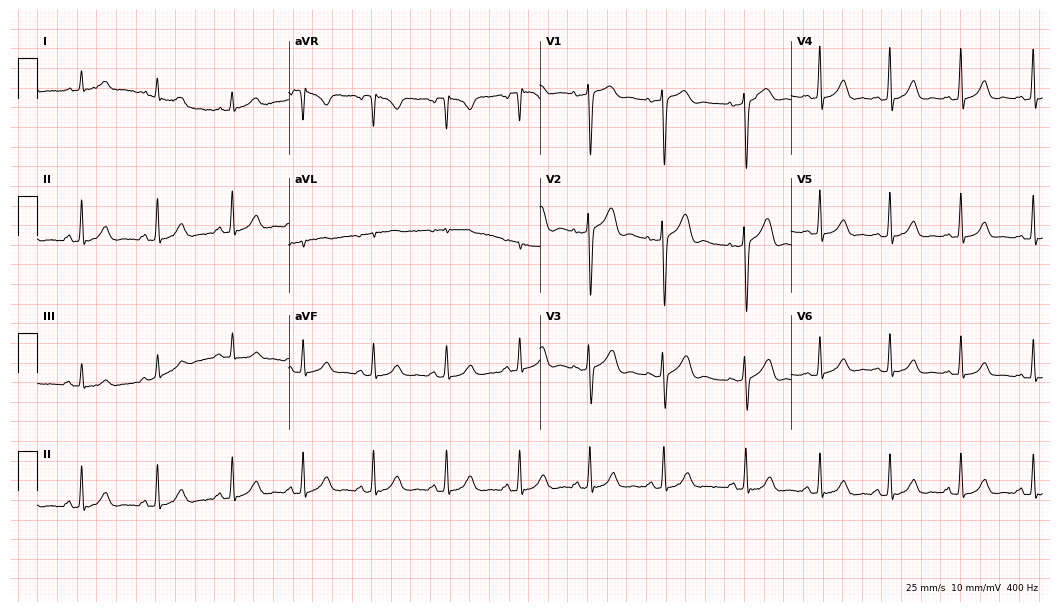
Resting 12-lead electrocardiogram. Patient: a female, 54 years old. Read as a normal ECG.